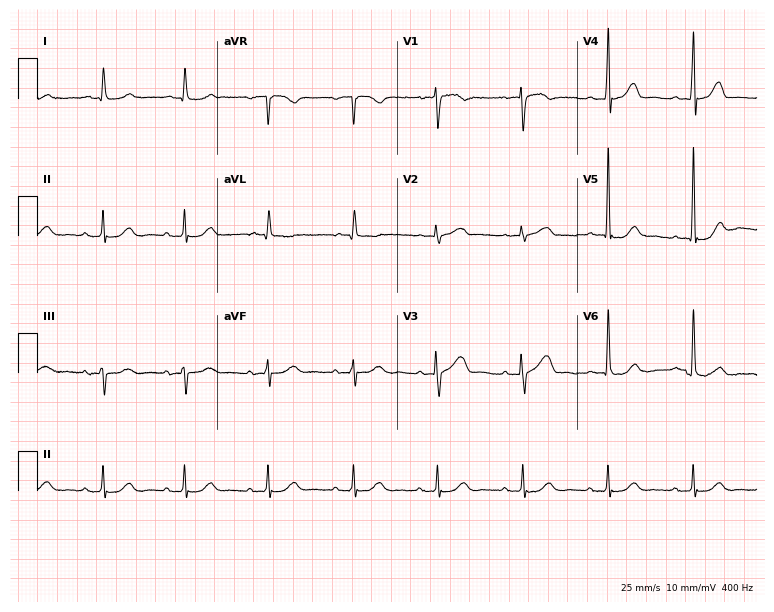
12-lead ECG (7.3-second recording at 400 Hz) from a woman, 77 years old. Labelled as a normal ECG.